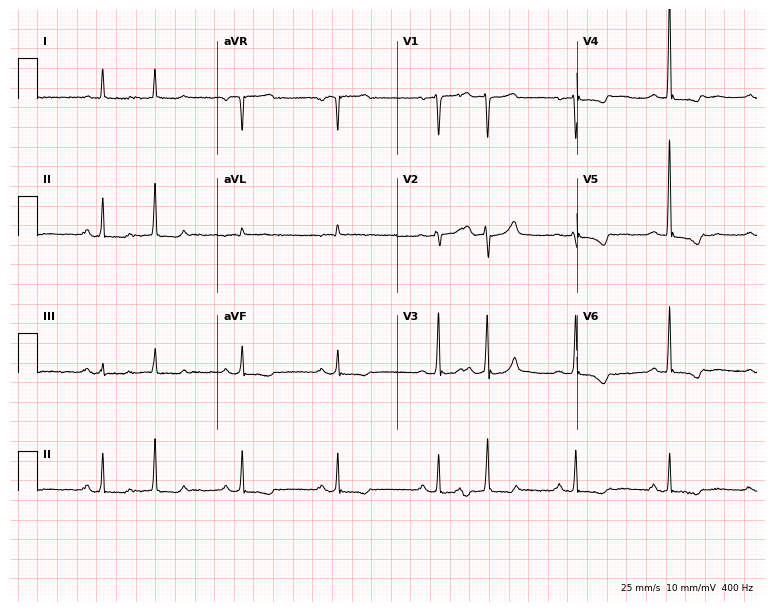
Standard 12-lead ECG recorded from a 67-year-old male (7.3-second recording at 400 Hz). None of these six findings is recorded: first-degree AV block, right bundle branch block (RBBB), left bundle branch block (LBBB), sinus bradycardia, atrial fibrillation (AF), sinus tachycardia. Findings outside these six are not listed.